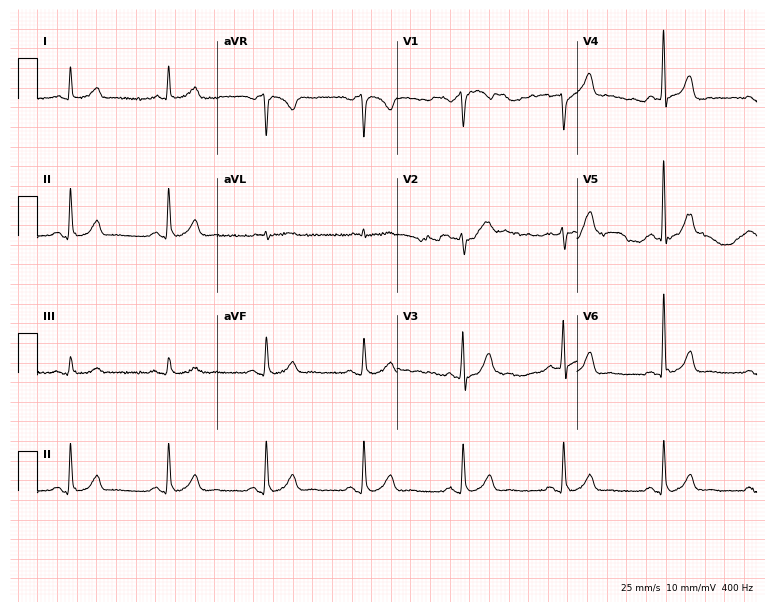
Electrocardiogram, a 65-year-old male patient. Overall reading on record: normal ECG.